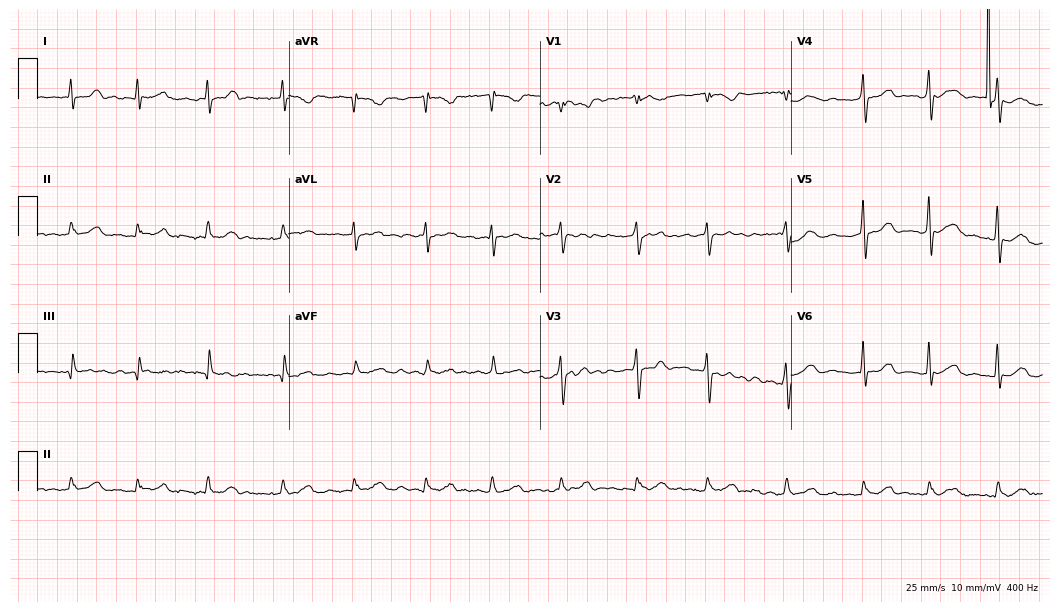
Standard 12-lead ECG recorded from a woman, 70 years old (10.2-second recording at 400 Hz). The tracing shows first-degree AV block, atrial fibrillation.